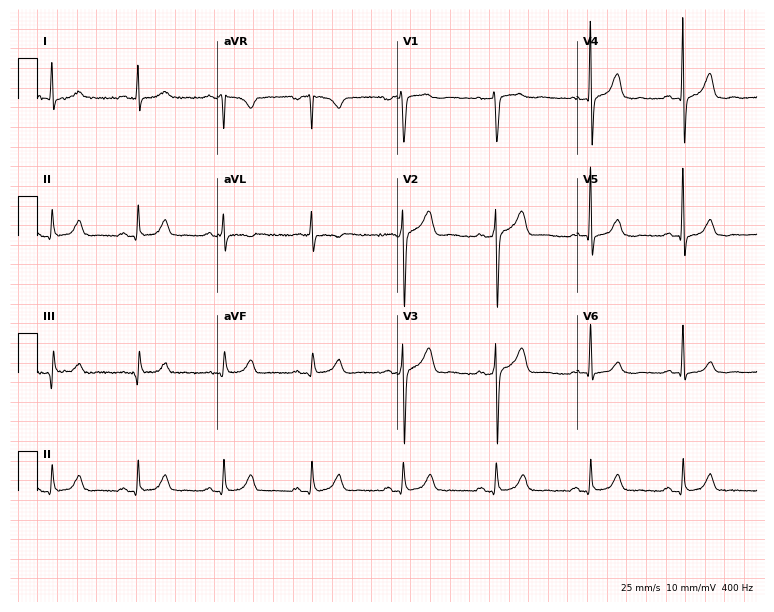
12-lead ECG (7.3-second recording at 400 Hz) from a 71-year-old male patient. Labelled as a normal ECG.